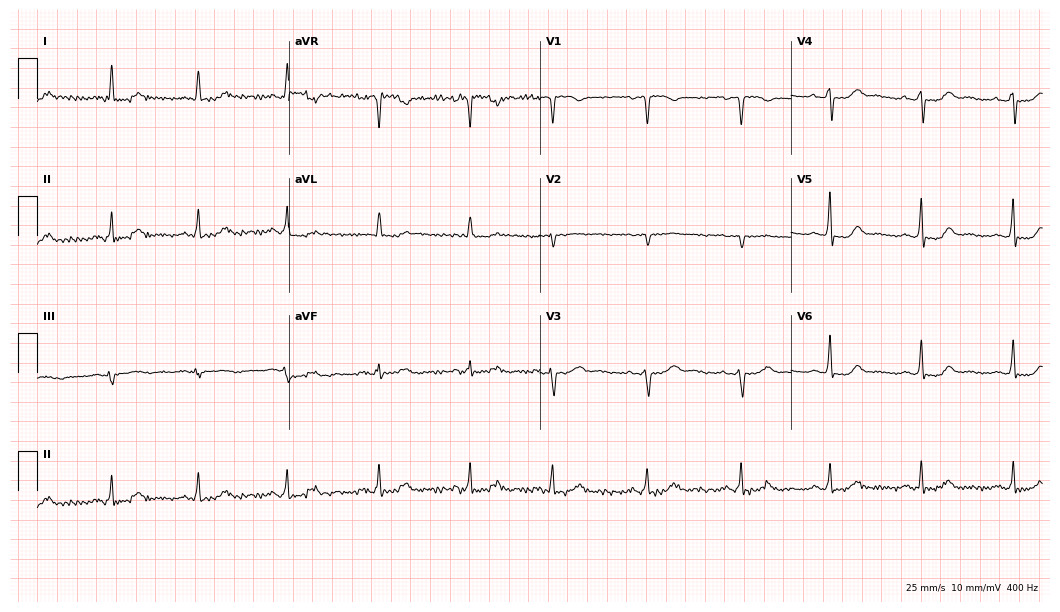
12-lead ECG from a 55-year-old female. Screened for six findings — first-degree AV block, right bundle branch block, left bundle branch block, sinus bradycardia, atrial fibrillation, sinus tachycardia — none is recorded.